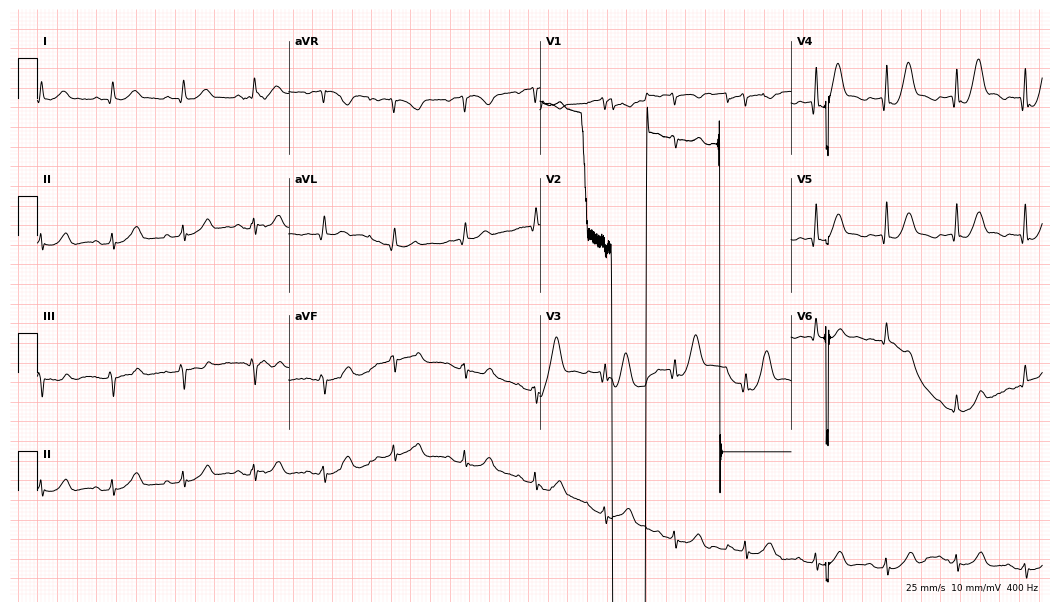
12-lead ECG from a man, 84 years old. No first-degree AV block, right bundle branch block, left bundle branch block, sinus bradycardia, atrial fibrillation or sinus tachycardia recorded for this tracing. Only these six findings were labelled.